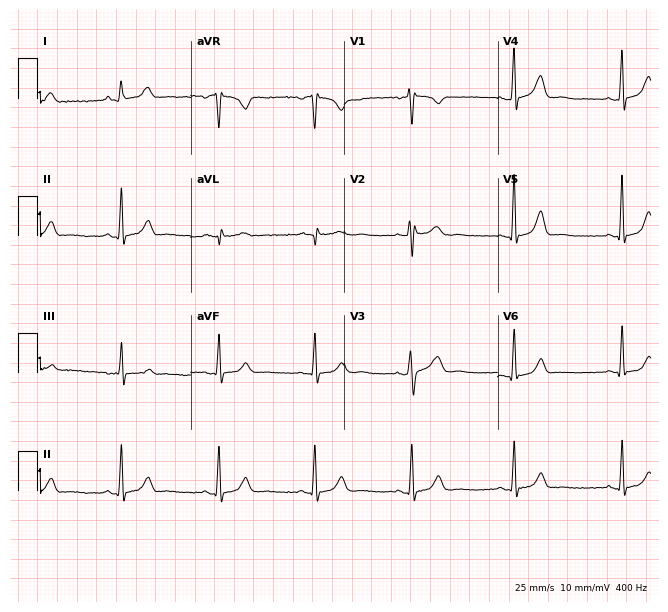
12-lead ECG from a female patient, 36 years old (6.3-second recording at 400 Hz). Recorded interpretation: within normal limits.